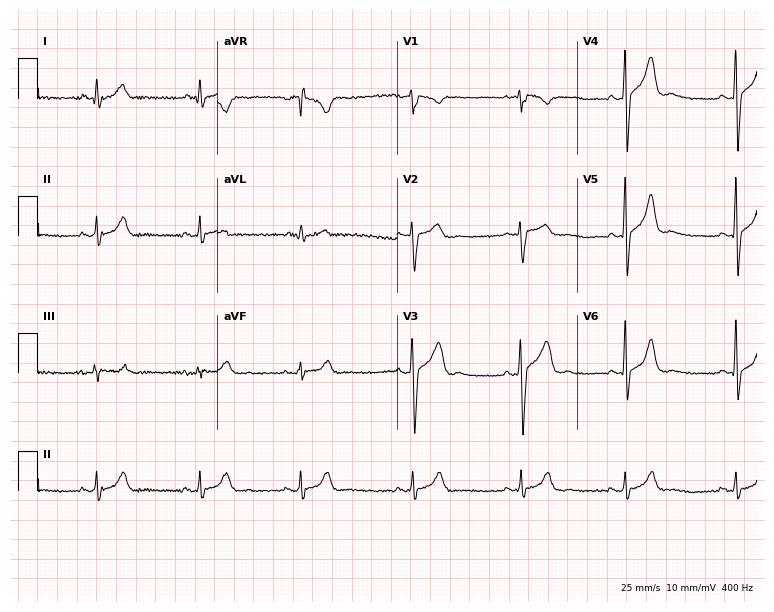
12-lead ECG from a man, 43 years old. Screened for six findings — first-degree AV block, right bundle branch block, left bundle branch block, sinus bradycardia, atrial fibrillation, sinus tachycardia — none is recorded. Findings outside these six are not listed.